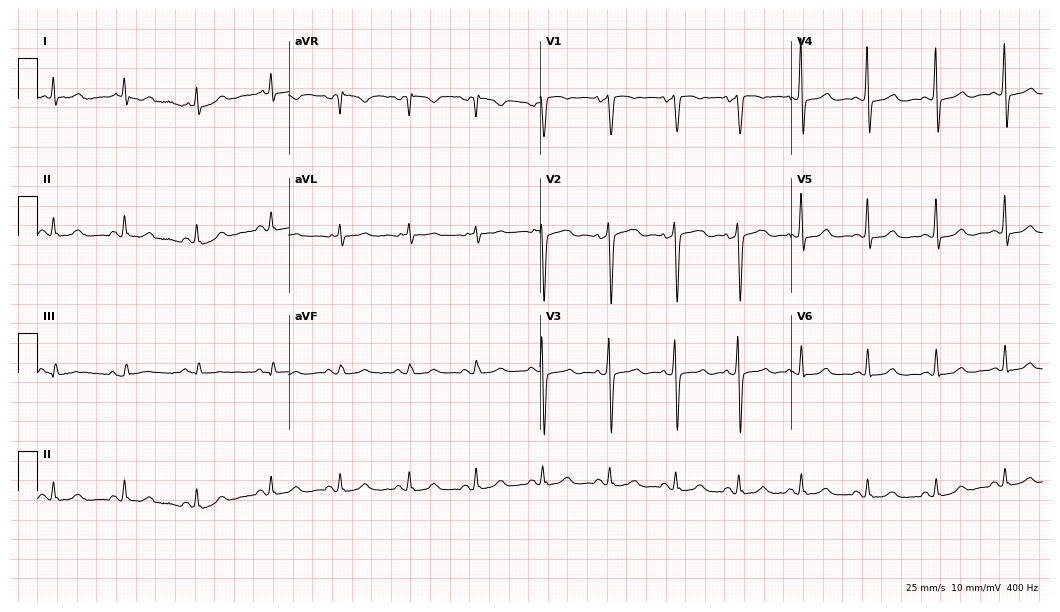
Electrocardiogram, a man, 69 years old. Of the six screened findings (first-degree AV block, right bundle branch block, left bundle branch block, sinus bradycardia, atrial fibrillation, sinus tachycardia), none is recorded.